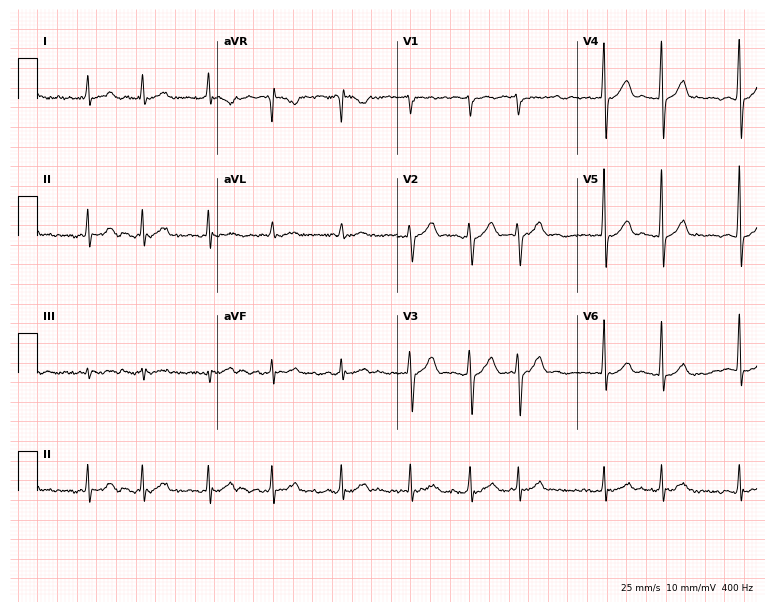
Resting 12-lead electrocardiogram (7.3-second recording at 400 Hz). Patient: a male, 81 years old. None of these six findings is recorded: first-degree AV block, right bundle branch block, left bundle branch block, sinus bradycardia, atrial fibrillation, sinus tachycardia.